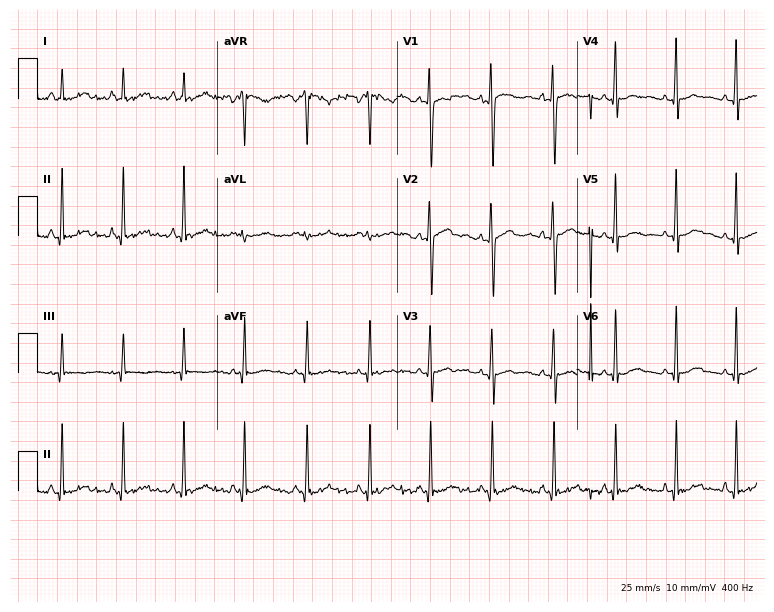
12-lead ECG from a 22-year-old female patient. Screened for six findings — first-degree AV block, right bundle branch block (RBBB), left bundle branch block (LBBB), sinus bradycardia, atrial fibrillation (AF), sinus tachycardia — none is recorded. Only these six findings were labelled.